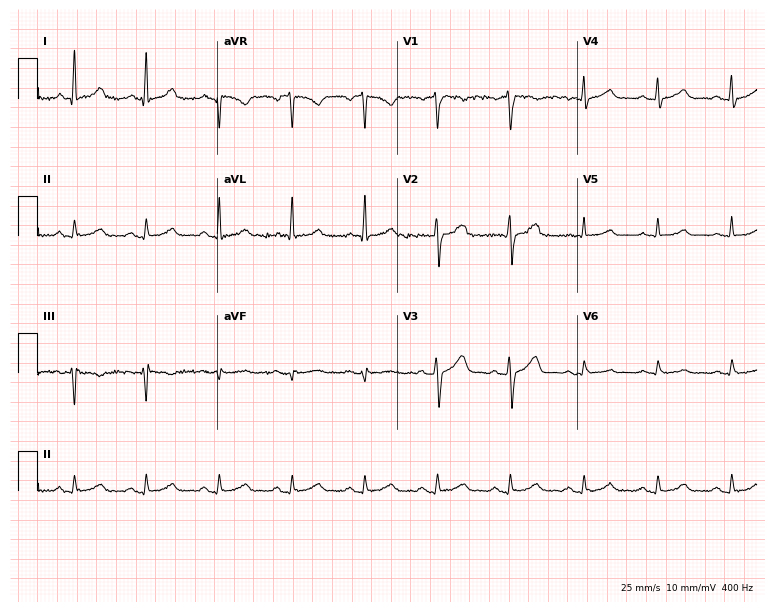
12-lead ECG from a 62-year-old man. Labelled as a normal ECG.